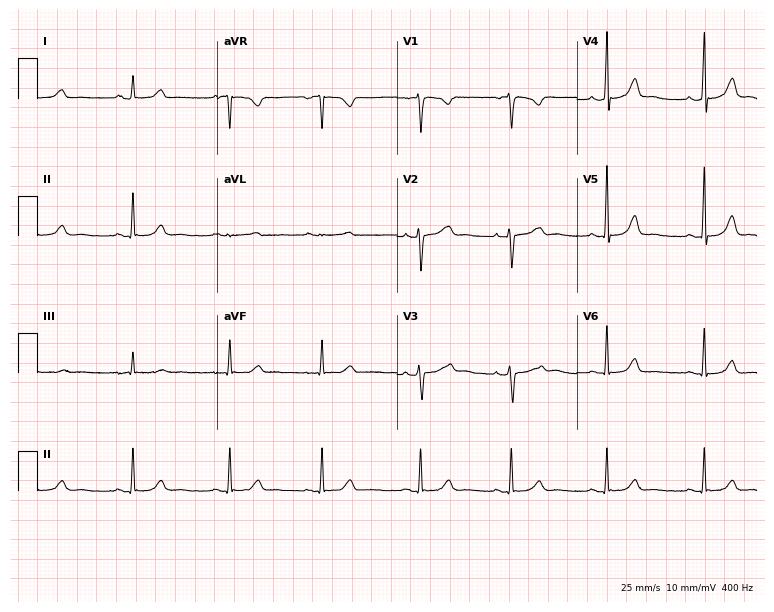
Resting 12-lead electrocardiogram. Patient: a woman, 23 years old. Read as a normal ECG.